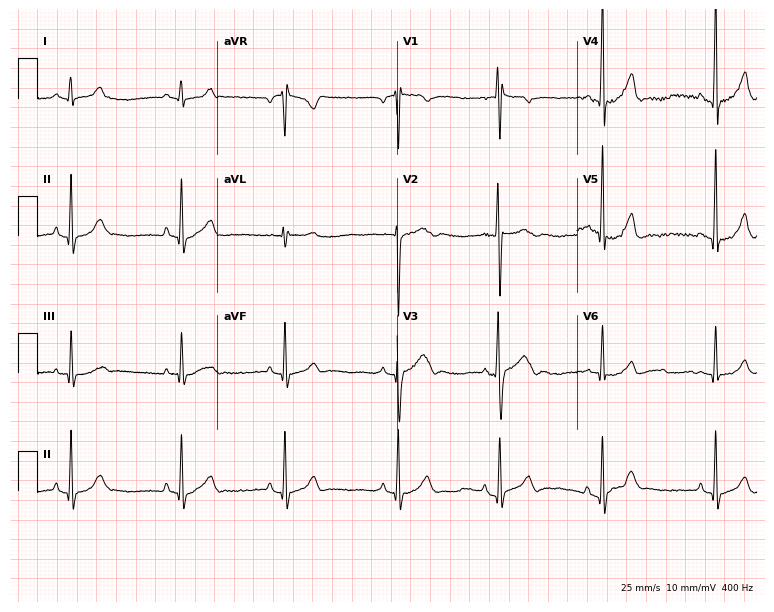
Resting 12-lead electrocardiogram. Patient: a 17-year-old male. Read as a normal ECG.